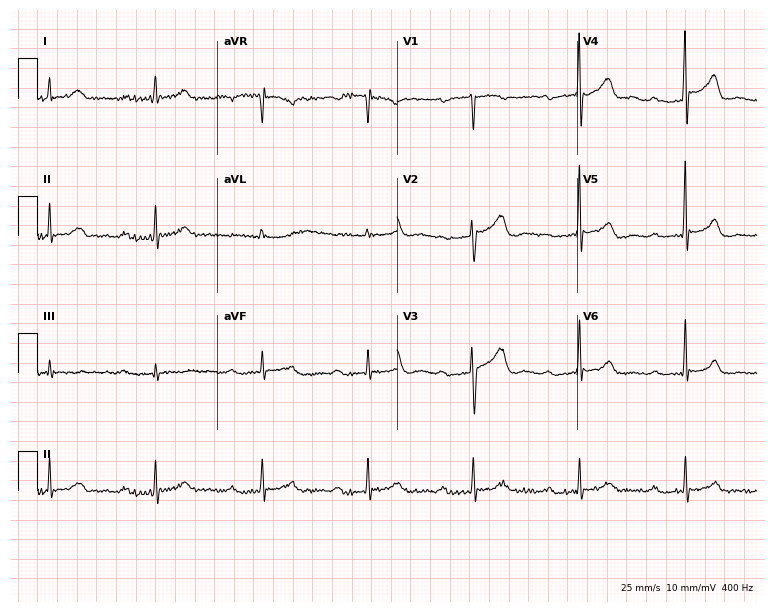
Standard 12-lead ECG recorded from a man, 72 years old (7.3-second recording at 400 Hz). The tracing shows first-degree AV block.